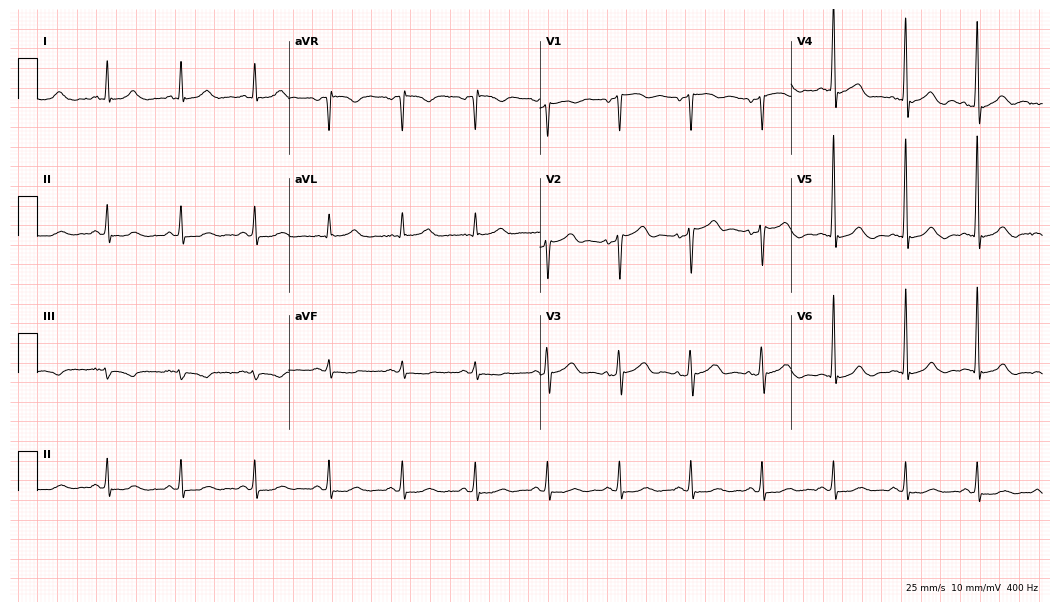
12-lead ECG from a 64-year-old male patient. Screened for six findings — first-degree AV block, right bundle branch block, left bundle branch block, sinus bradycardia, atrial fibrillation, sinus tachycardia — none is recorded.